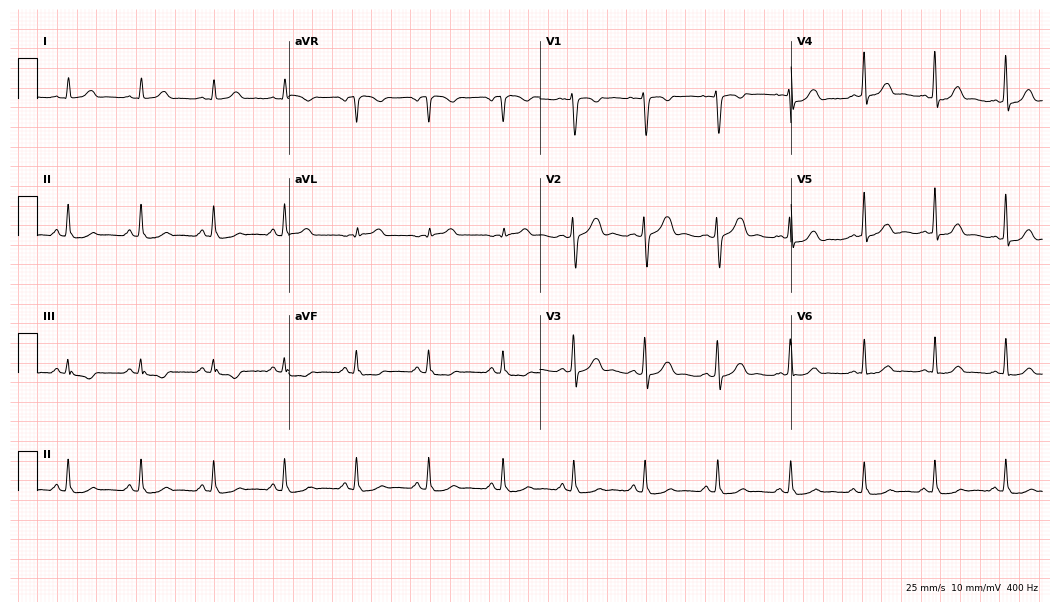
Electrocardiogram, a woman, 24 years old. Overall reading on record: normal ECG.